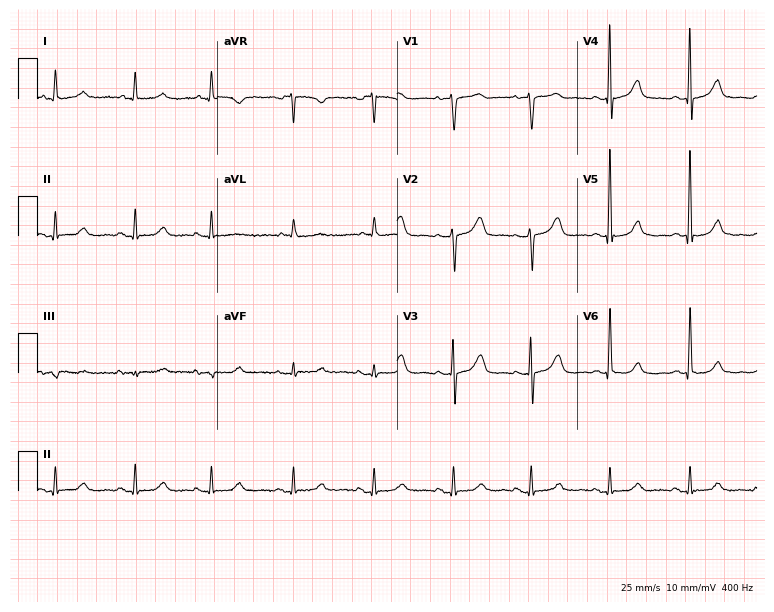
Resting 12-lead electrocardiogram (7.3-second recording at 400 Hz). Patient: a female, 71 years old. Read as a normal ECG.